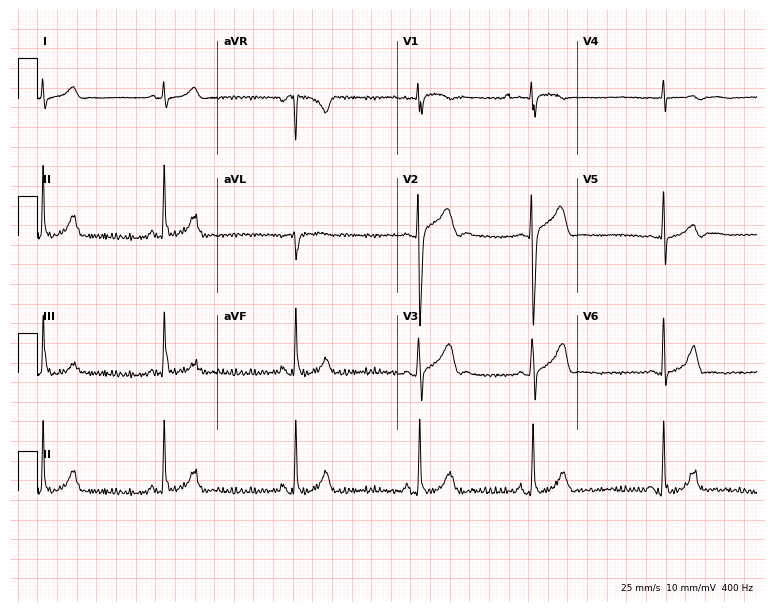
12-lead ECG from a 17-year-old man (7.3-second recording at 400 Hz). Shows sinus bradycardia (a sinus rate of 50 beats per minute or less).